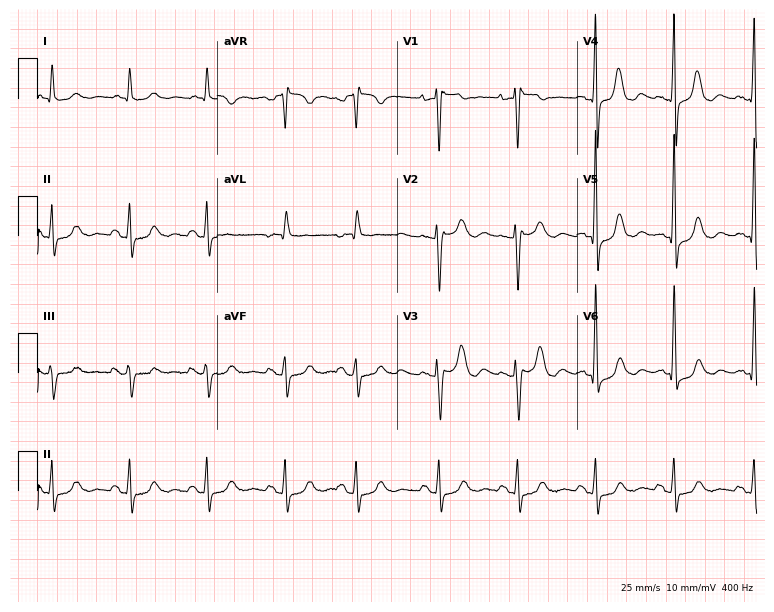
ECG — a female patient, 76 years old. Screened for six findings — first-degree AV block, right bundle branch block, left bundle branch block, sinus bradycardia, atrial fibrillation, sinus tachycardia — none is recorded.